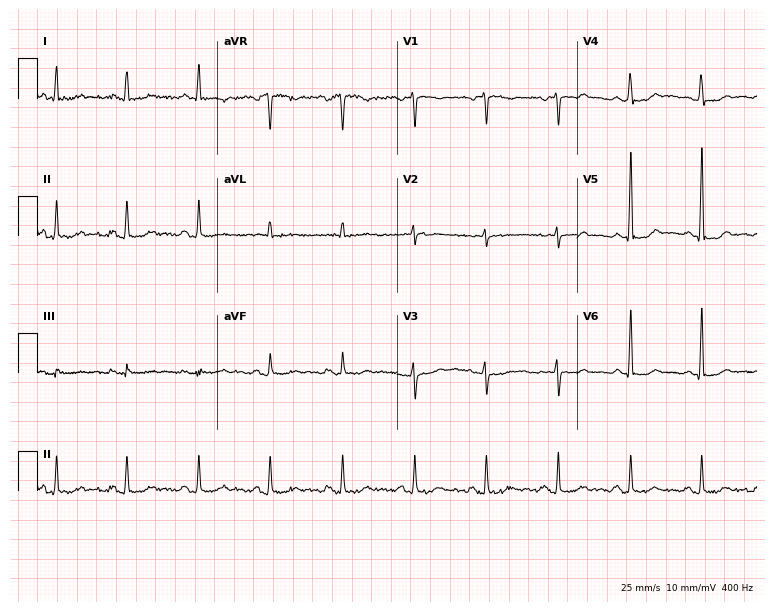
Electrocardiogram, a 46-year-old woman. Of the six screened findings (first-degree AV block, right bundle branch block, left bundle branch block, sinus bradycardia, atrial fibrillation, sinus tachycardia), none is recorded.